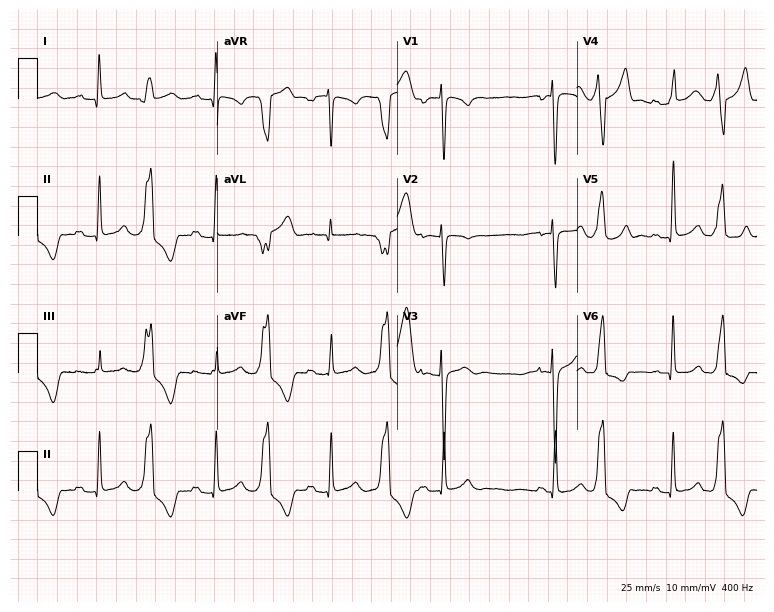
12-lead ECG from a woman, 35 years old. No first-degree AV block, right bundle branch block (RBBB), left bundle branch block (LBBB), sinus bradycardia, atrial fibrillation (AF) or sinus tachycardia recorded for this tracing. Findings outside these six are not listed.